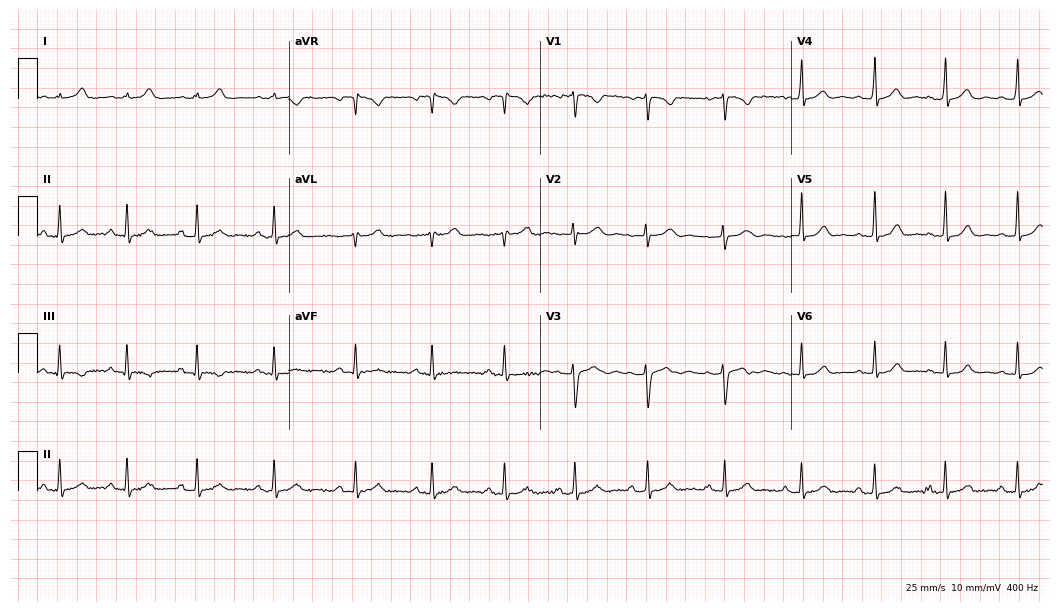
Standard 12-lead ECG recorded from a 17-year-old female patient. Read as a normal ECG.